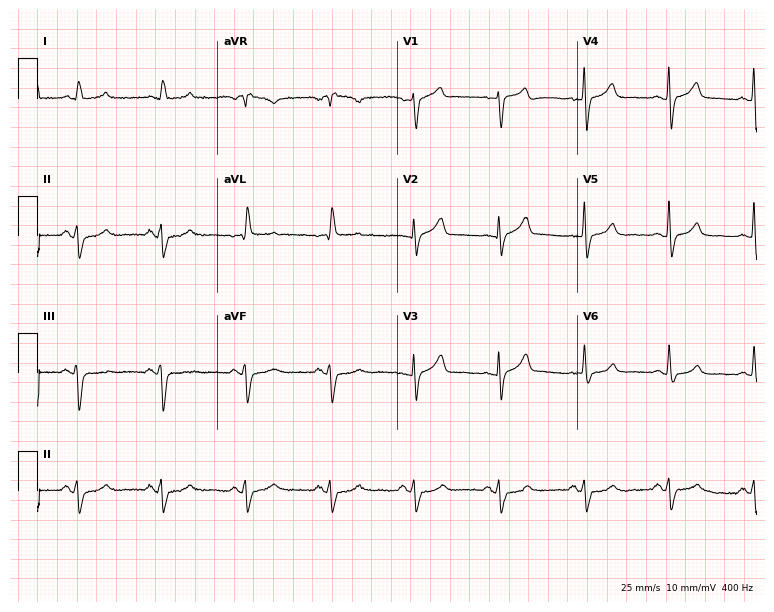
Resting 12-lead electrocardiogram (7.3-second recording at 400 Hz). Patient: a male, 60 years old. None of these six findings is recorded: first-degree AV block, right bundle branch block, left bundle branch block, sinus bradycardia, atrial fibrillation, sinus tachycardia.